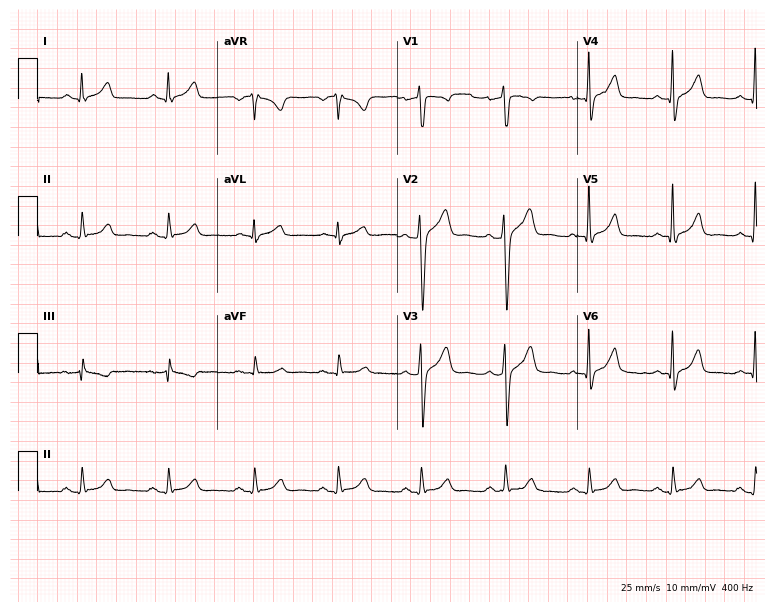
12-lead ECG from a 41-year-old male patient. Recorded interpretation: within normal limits.